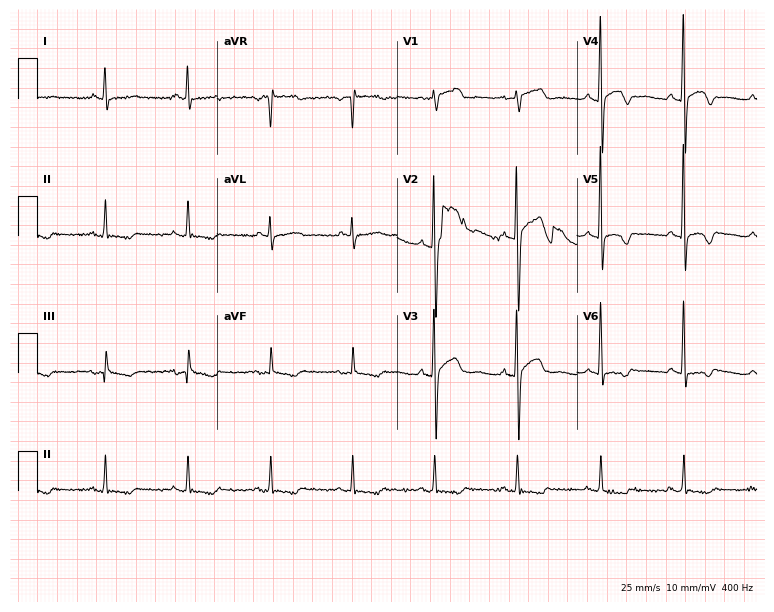
Resting 12-lead electrocardiogram (7.3-second recording at 400 Hz). Patient: a 66-year-old man. None of these six findings is recorded: first-degree AV block, right bundle branch block, left bundle branch block, sinus bradycardia, atrial fibrillation, sinus tachycardia. Other findings, if any, are not listed.